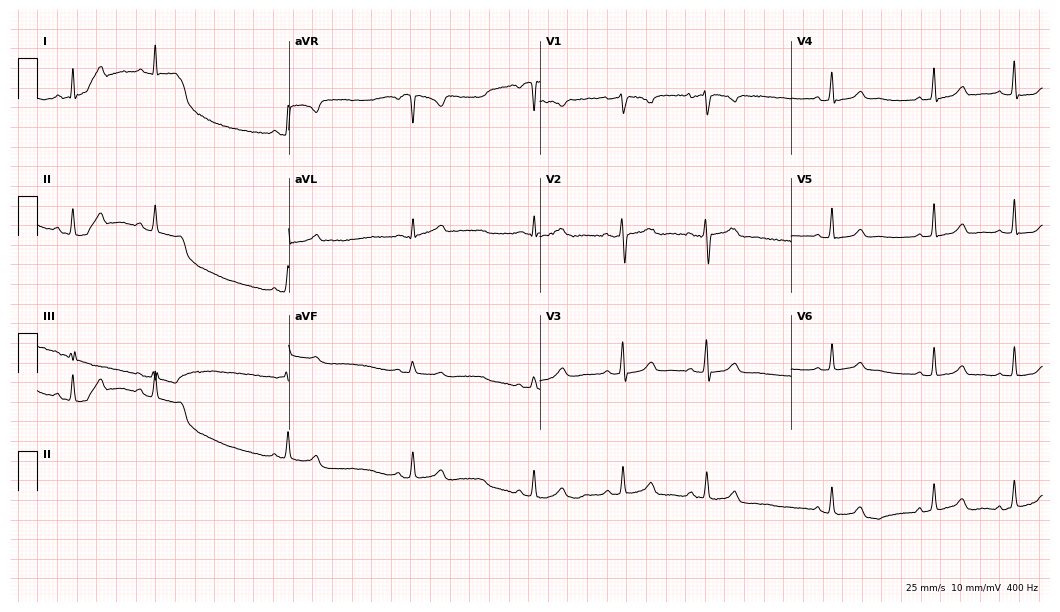
Standard 12-lead ECG recorded from a woman, 27 years old (10.2-second recording at 400 Hz). Read as a normal ECG.